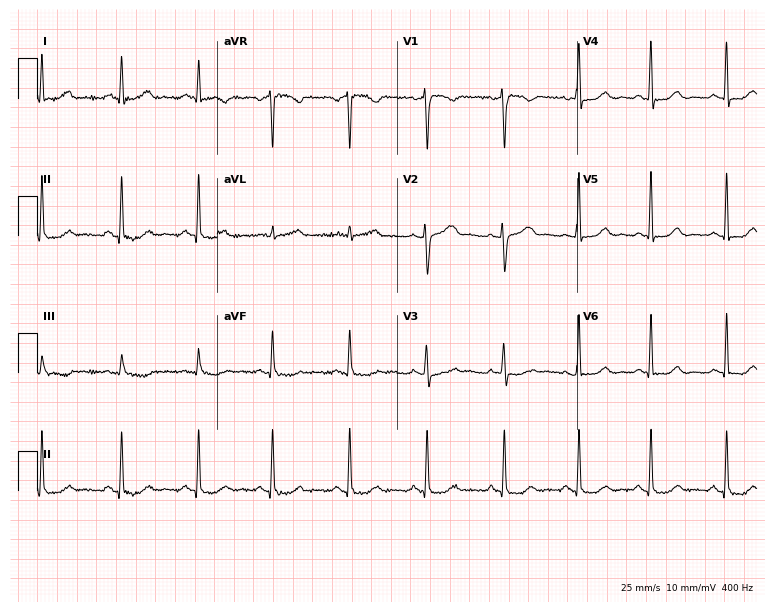
Resting 12-lead electrocardiogram (7.3-second recording at 400 Hz). Patient: a female, 30 years old. Read as a normal ECG.